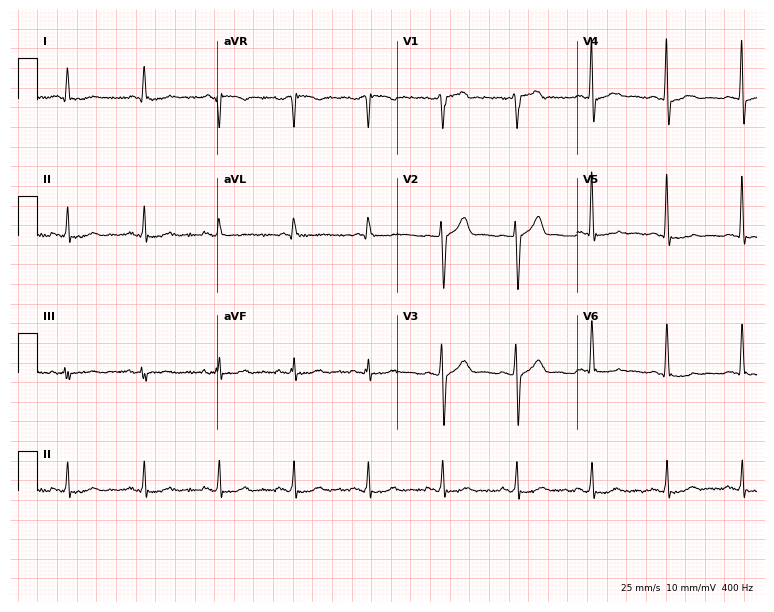
Standard 12-lead ECG recorded from a 59-year-old man. None of these six findings is recorded: first-degree AV block, right bundle branch block, left bundle branch block, sinus bradycardia, atrial fibrillation, sinus tachycardia. Only these six findings were labelled.